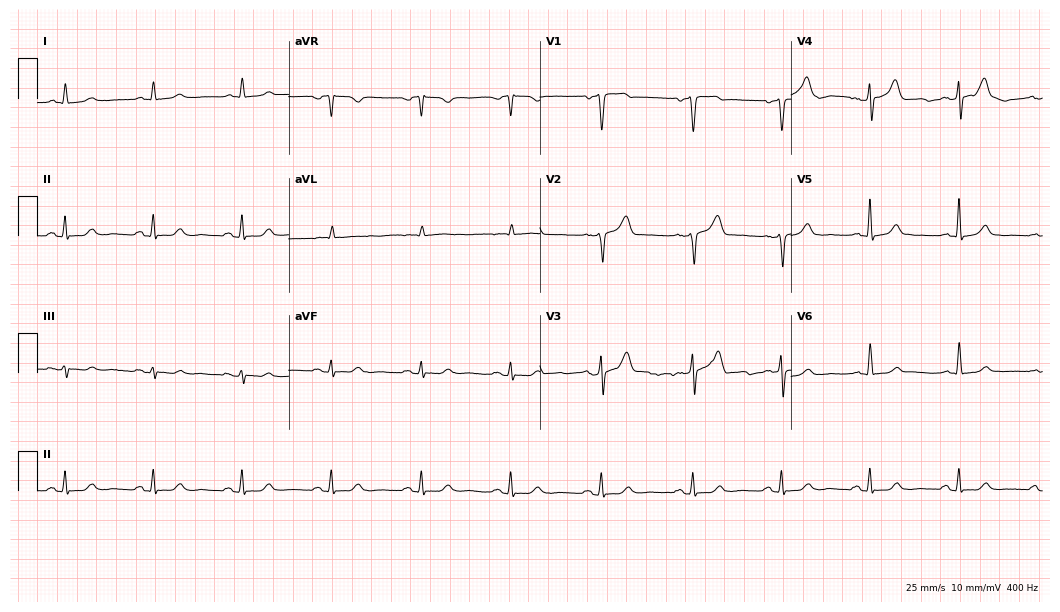
Resting 12-lead electrocardiogram. Patient: a 73-year-old male. Read as a normal ECG.